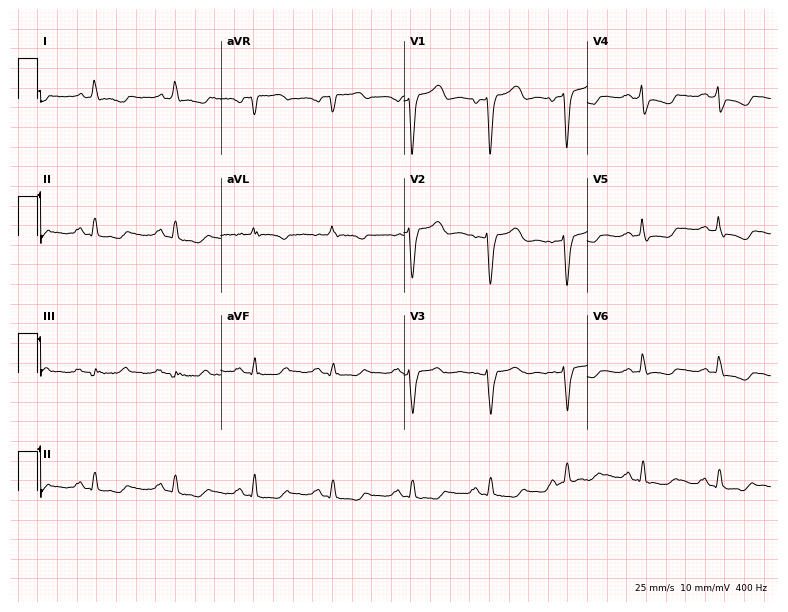
12-lead ECG from a 56-year-old female patient (7.5-second recording at 400 Hz). No first-degree AV block, right bundle branch block (RBBB), left bundle branch block (LBBB), sinus bradycardia, atrial fibrillation (AF) or sinus tachycardia recorded for this tracing. Other findings, if any, are not listed.